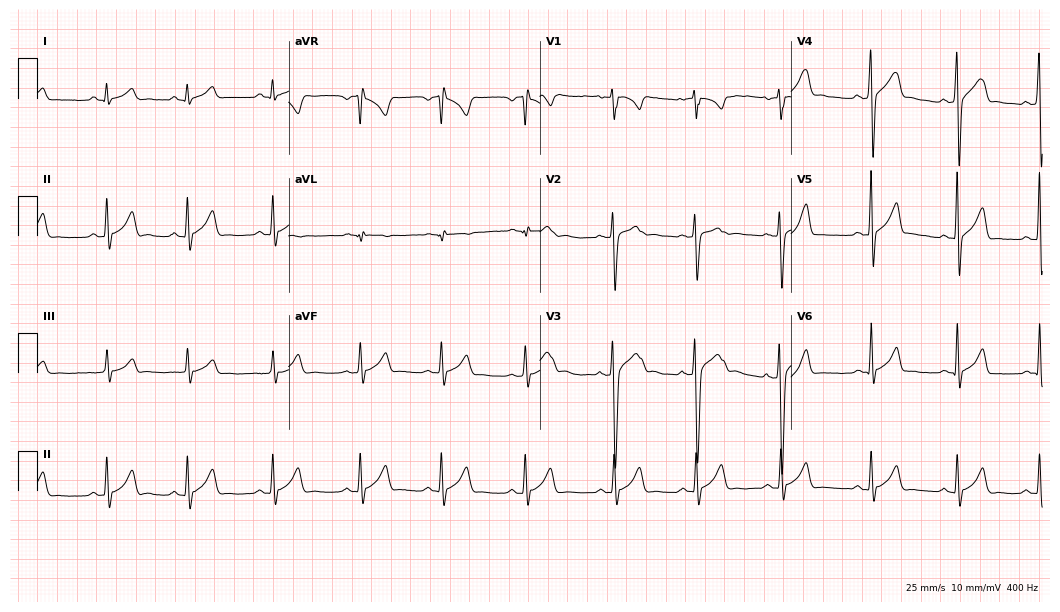
Resting 12-lead electrocardiogram. Patient: a 19-year-old male. None of these six findings is recorded: first-degree AV block, right bundle branch block, left bundle branch block, sinus bradycardia, atrial fibrillation, sinus tachycardia. Findings outside these six are not listed.